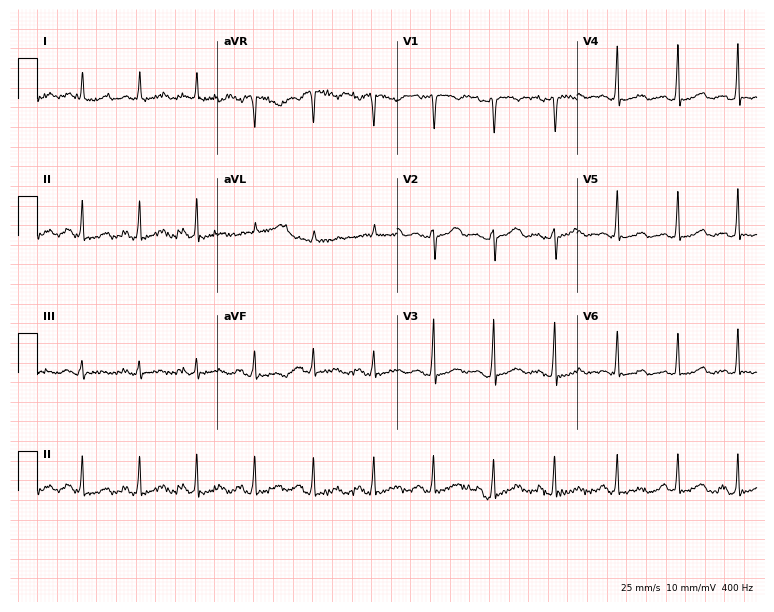
ECG (7.3-second recording at 400 Hz) — a woman, 40 years old. Labelled as a normal ECG.